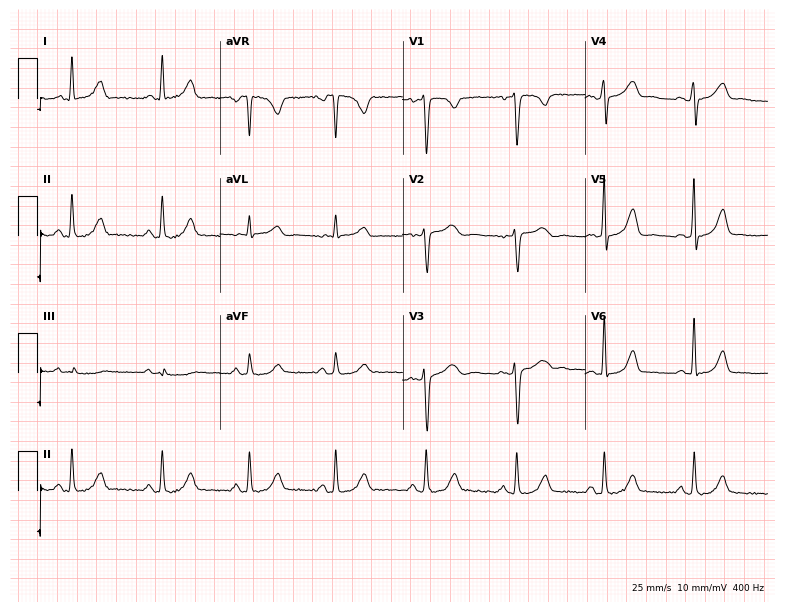
12-lead ECG from a 46-year-old female. No first-degree AV block, right bundle branch block, left bundle branch block, sinus bradycardia, atrial fibrillation or sinus tachycardia recorded for this tracing. Only these six findings were labelled.